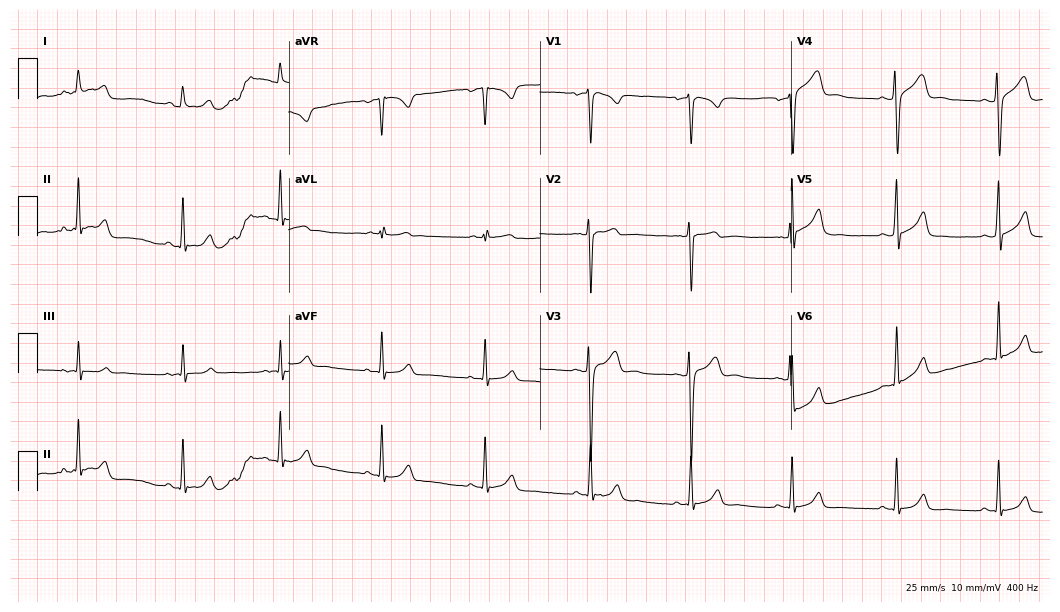
12-lead ECG from a male, 31 years old. Recorded interpretation: within normal limits.